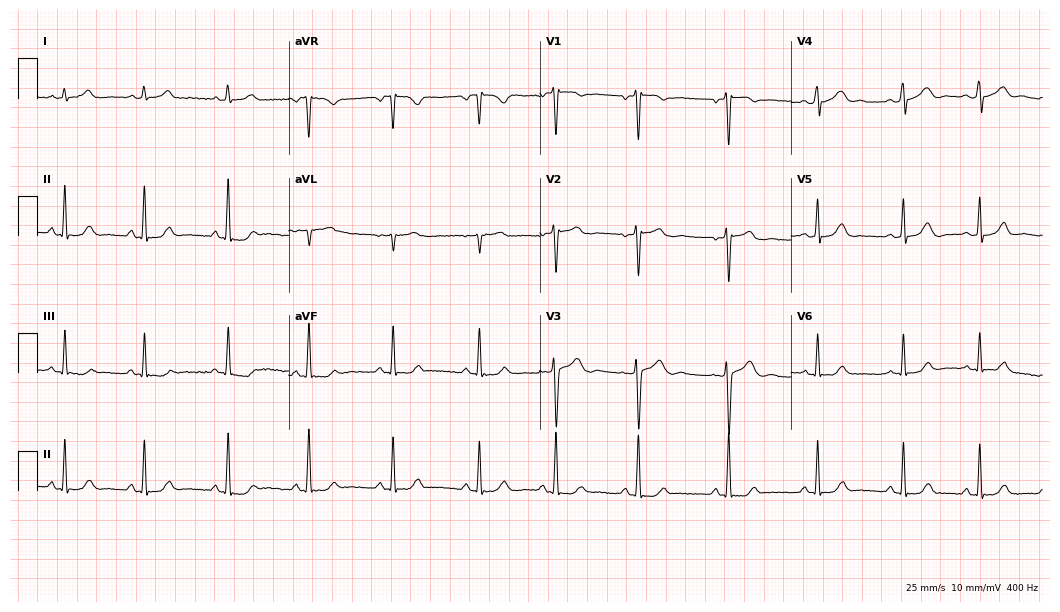
Standard 12-lead ECG recorded from a woman, 17 years old. Read as a normal ECG.